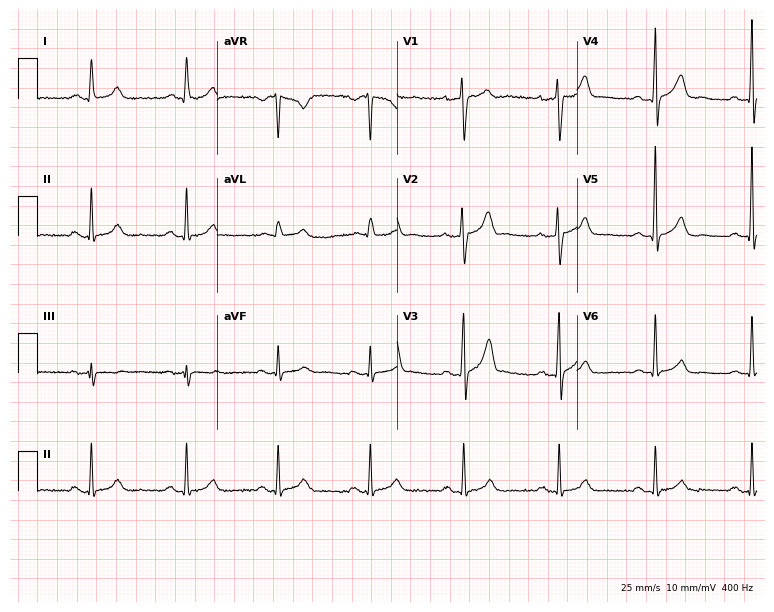
Electrocardiogram, a male, 44 years old. Overall reading on record: normal ECG.